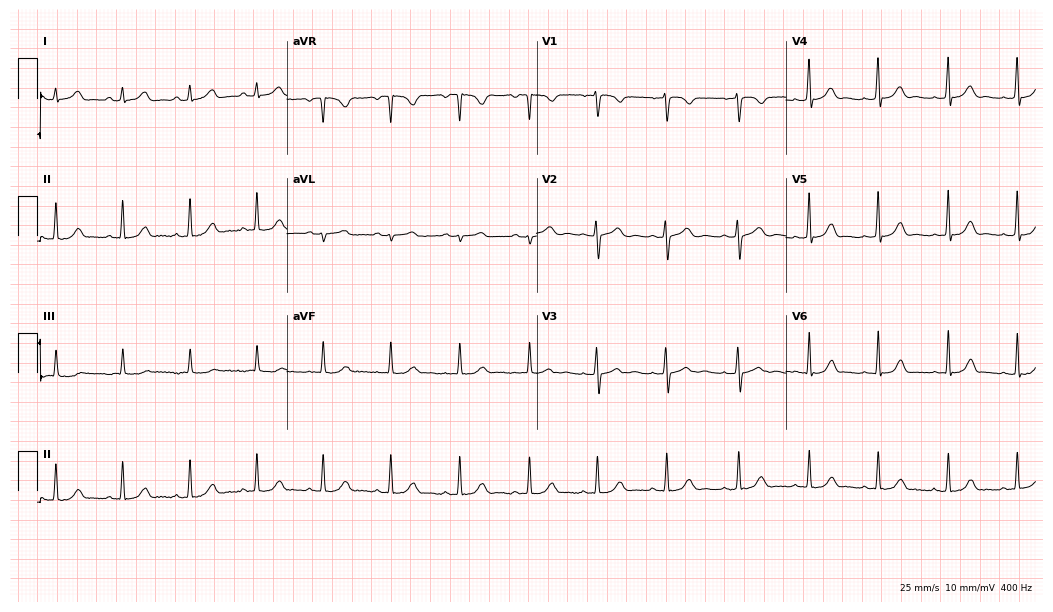
Resting 12-lead electrocardiogram (10.2-second recording at 400 Hz). Patient: a woman, 21 years old. Read as a normal ECG.